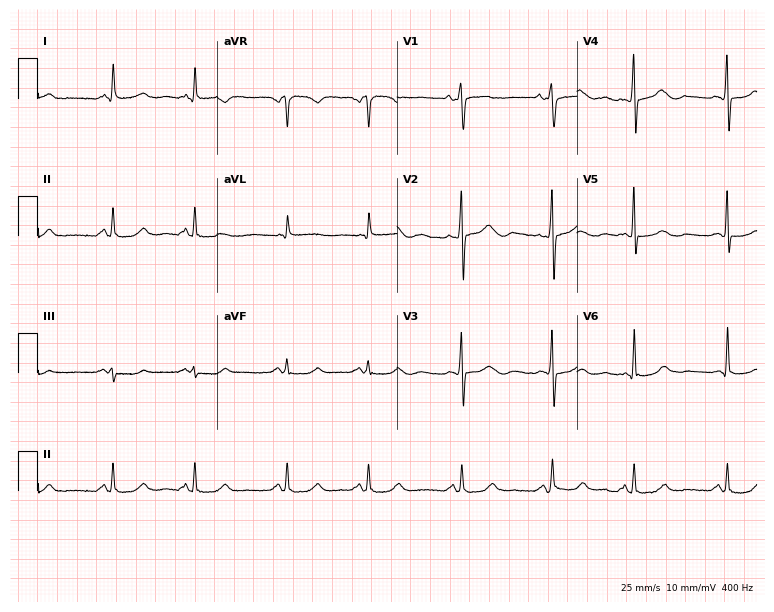
Standard 12-lead ECG recorded from a man, 67 years old. None of these six findings is recorded: first-degree AV block, right bundle branch block, left bundle branch block, sinus bradycardia, atrial fibrillation, sinus tachycardia. Only these six findings were labelled.